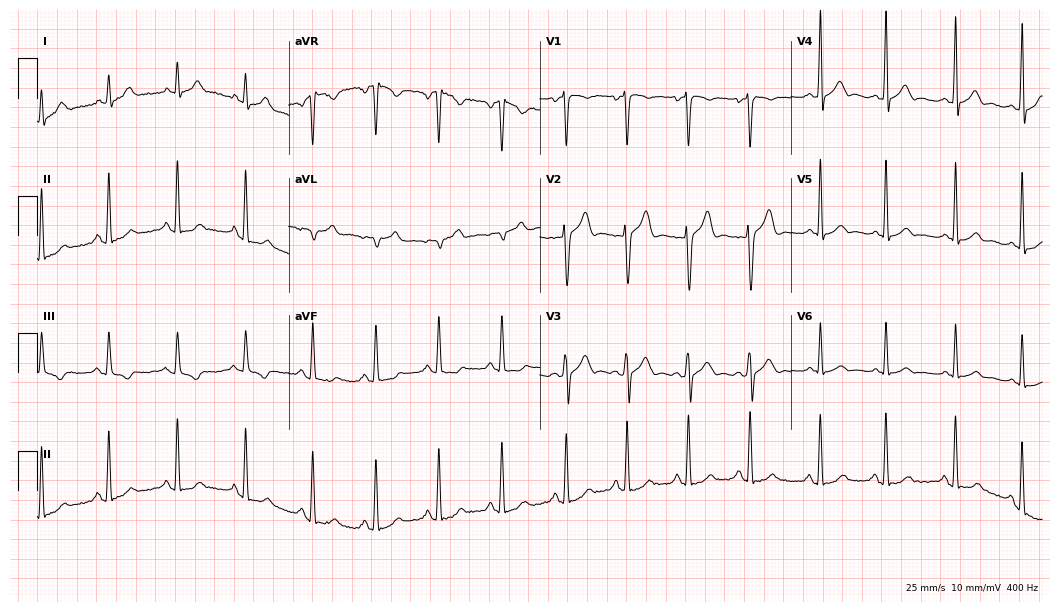
12-lead ECG (10.2-second recording at 400 Hz) from a 28-year-old man. Screened for six findings — first-degree AV block, right bundle branch block, left bundle branch block, sinus bradycardia, atrial fibrillation, sinus tachycardia — none is recorded. Findings outside these six are not listed.